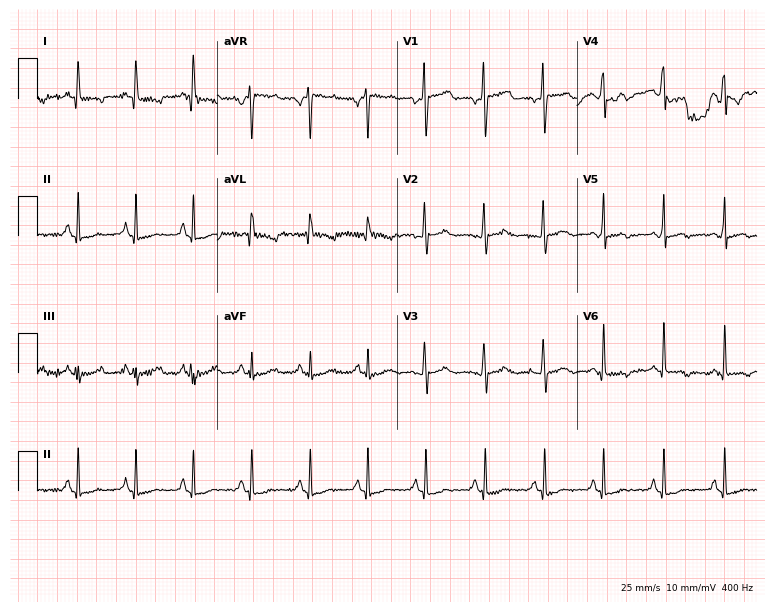
Electrocardiogram, a 43-year-old female patient. Interpretation includes sinus tachycardia (a sinus rate of 100 beats per minute or more).